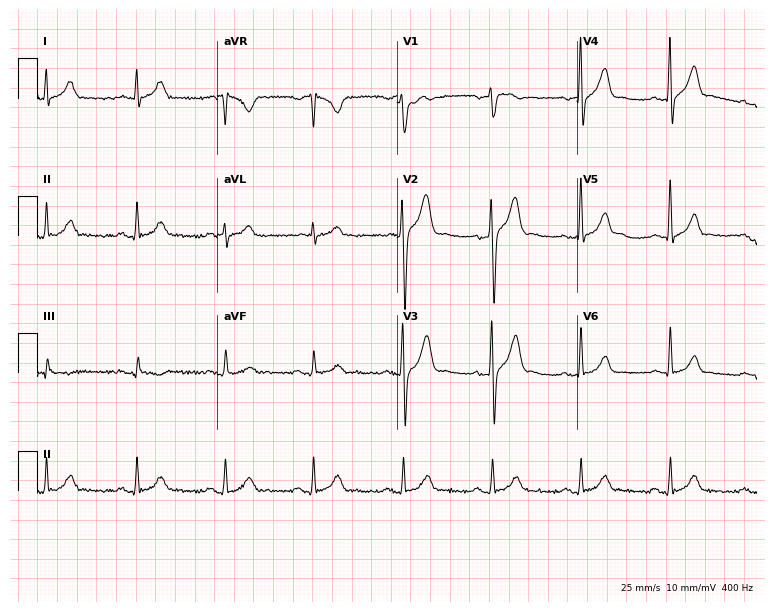
Standard 12-lead ECG recorded from a male, 63 years old (7.3-second recording at 400 Hz). None of these six findings is recorded: first-degree AV block, right bundle branch block, left bundle branch block, sinus bradycardia, atrial fibrillation, sinus tachycardia. Other findings, if any, are not listed.